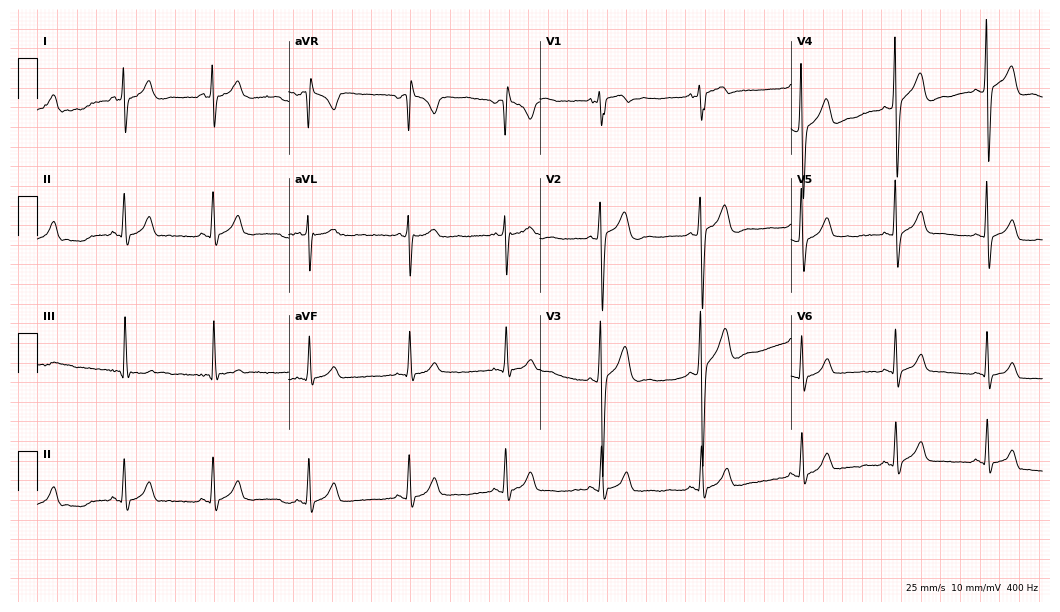
Electrocardiogram (10.2-second recording at 400 Hz), a man, 18 years old. Of the six screened findings (first-degree AV block, right bundle branch block, left bundle branch block, sinus bradycardia, atrial fibrillation, sinus tachycardia), none is recorded. Other findings, if any, are not listed.